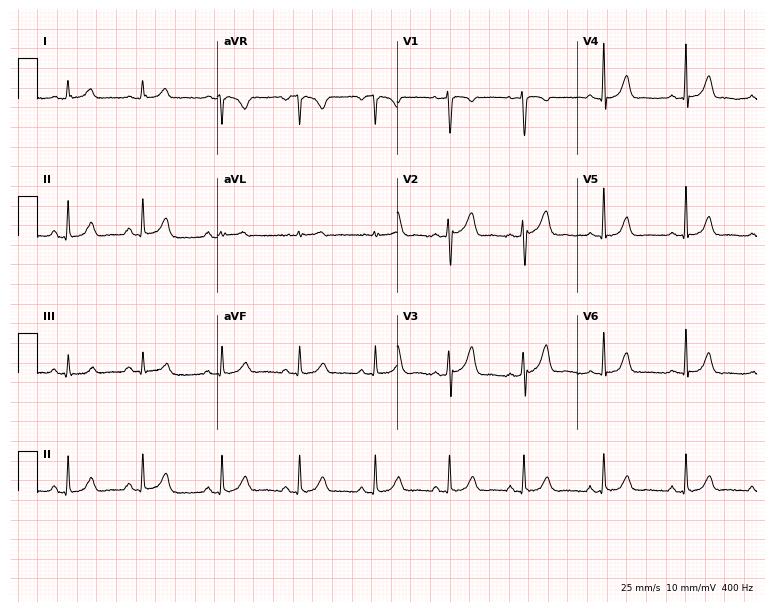
Resting 12-lead electrocardiogram. Patient: a female, 33 years old. None of these six findings is recorded: first-degree AV block, right bundle branch block (RBBB), left bundle branch block (LBBB), sinus bradycardia, atrial fibrillation (AF), sinus tachycardia.